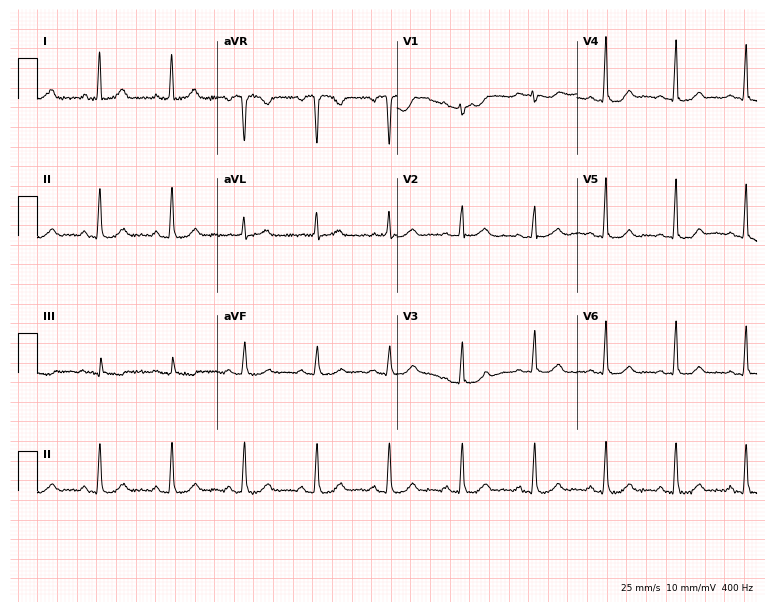
12-lead ECG from a 56-year-old female. Recorded interpretation: within normal limits.